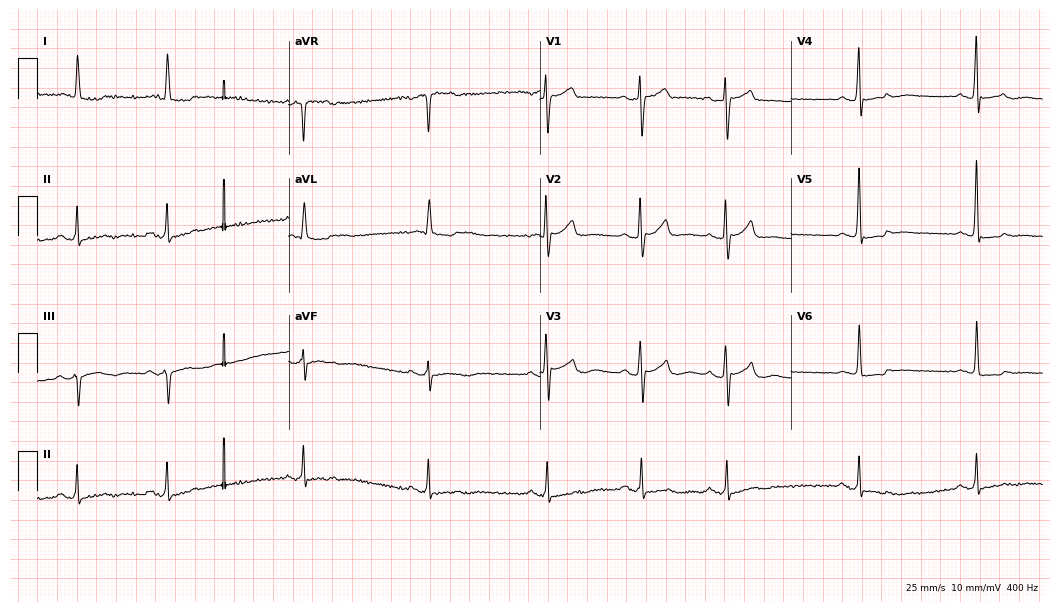
Standard 12-lead ECG recorded from a 78-year-old female patient (10.2-second recording at 400 Hz). None of these six findings is recorded: first-degree AV block, right bundle branch block (RBBB), left bundle branch block (LBBB), sinus bradycardia, atrial fibrillation (AF), sinus tachycardia.